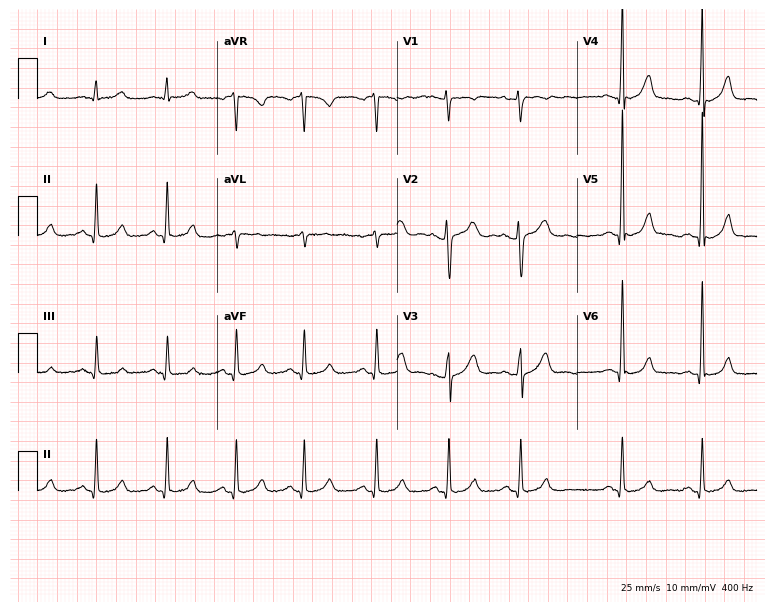
12-lead ECG from a 48-year-old female (7.3-second recording at 400 Hz). Recorded interpretation: within normal limits.